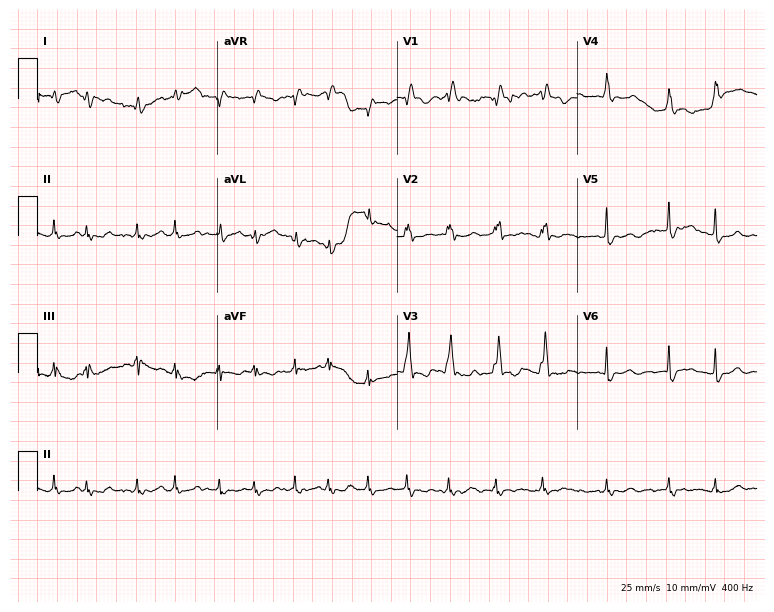
Electrocardiogram (7.3-second recording at 400 Hz), a woman, 72 years old. Interpretation includes right bundle branch block, atrial fibrillation.